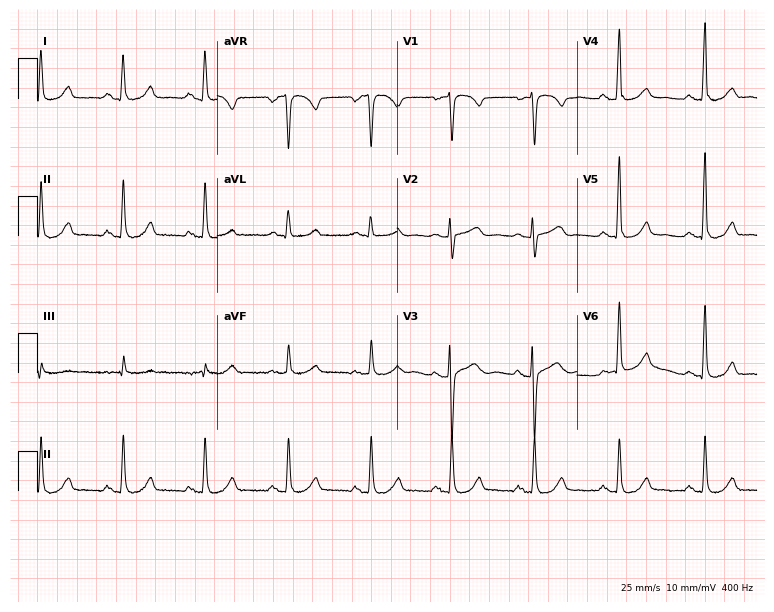
12-lead ECG from a 49-year-old woman. No first-degree AV block, right bundle branch block, left bundle branch block, sinus bradycardia, atrial fibrillation or sinus tachycardia recorded for this tracing. Other findings, if any, are not listed.